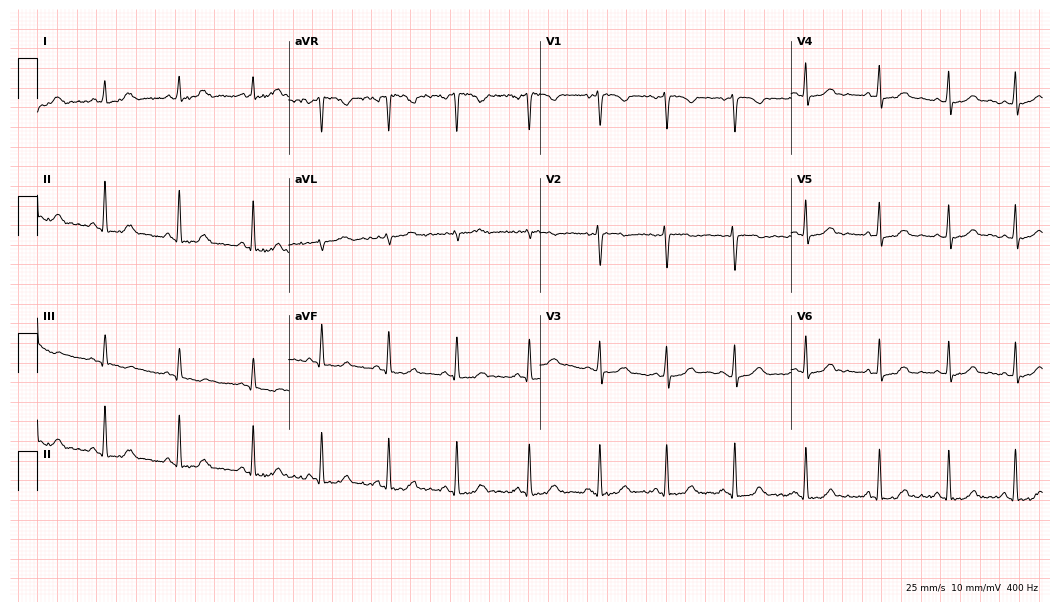
Standard 12-lead ECG recorded from a 26-year-old woman (10.2-second recording at 400 Hz). Read as a normal ECG.